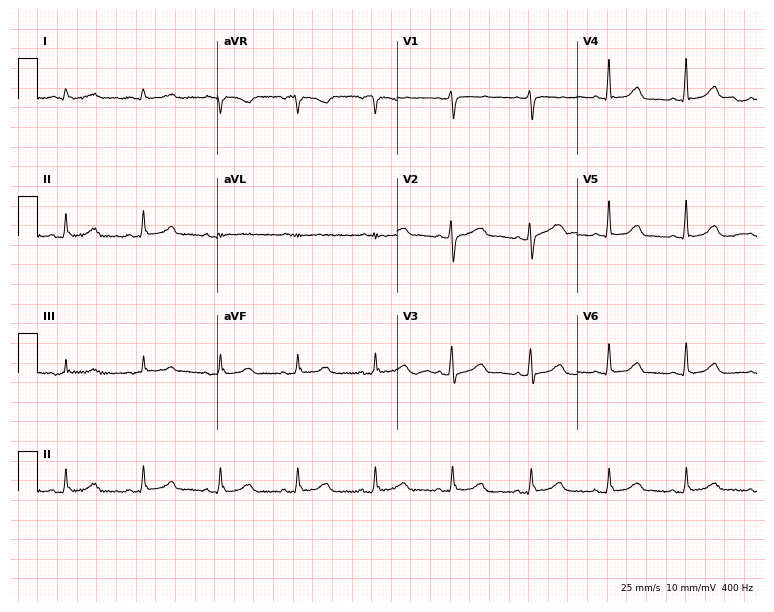
12-lead ECG from a female patient, 85 years old. Labelled as a normal ECG.